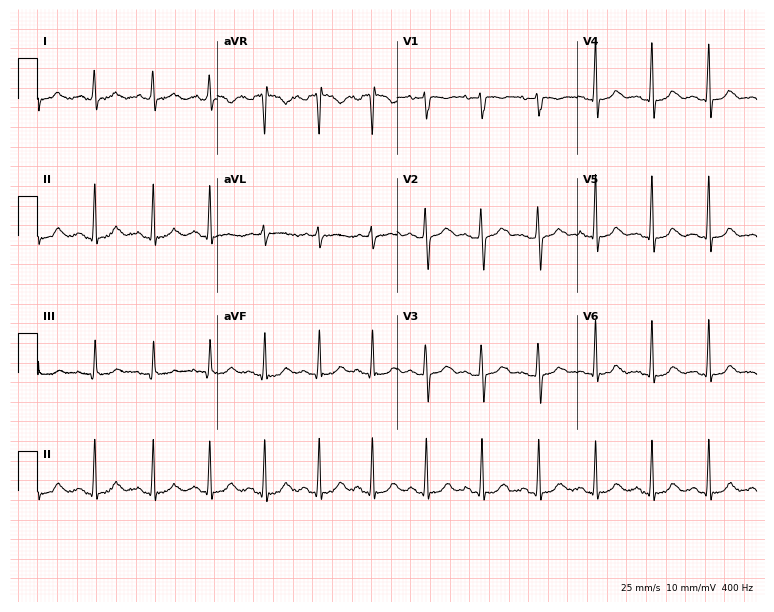
12-lead ECG from a female patient, 31 years old (7.3-second recording at 400 Hz). No first-degree AV block, right bundle branch block, left bundle branch block, sinus bradycardia, atrial fibrillation or sinus tachycardia recorded for this tracing. Only these six findings were labelled.